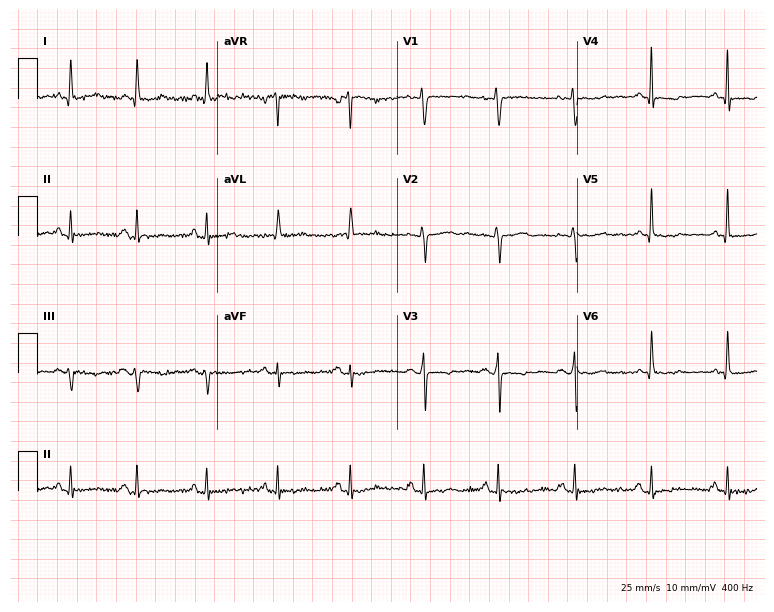
12-lead ECG from a female patient, 63 years old. No first-degree AV block, right bundle branch block, left bundle branch block, sinus bradycardia, atrial fibrillation or sinus tachycardia recorded for this tracing. Findings outside these six are not listed.